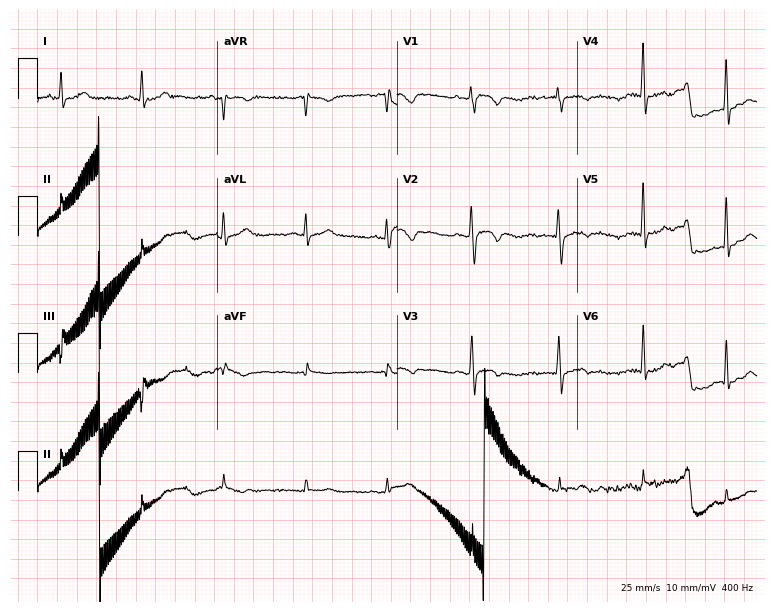
Standard 12-lead ECG recorded from a female, 54 years old (7.3-second recording at 400 Hz). None of these six findings is recorded: first-degree AV block, right bundle branch block, left bundle branch block, sinus bradycardia, atrial fibrillation, sinus tachycardia.